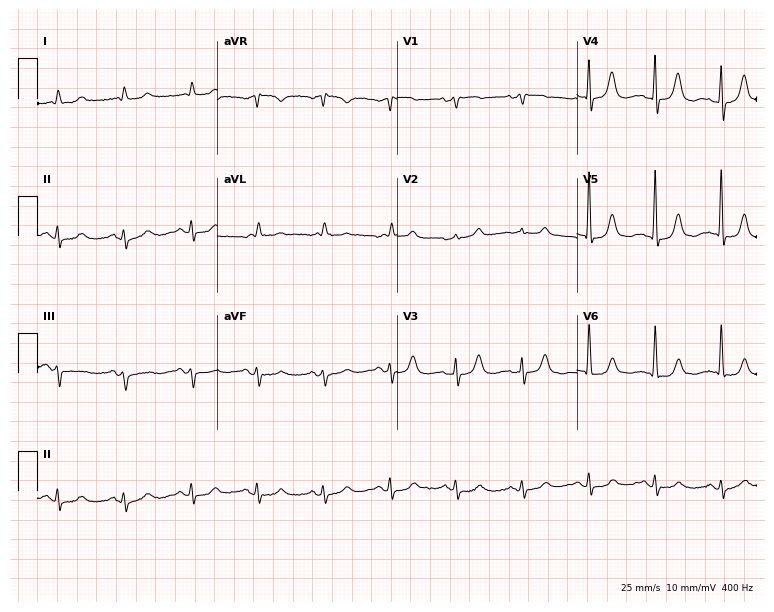
Standard 12-lead ECG recorded from a female, 82 years old. None of these six findings is recorded: first-degree AV block, right bundle branch block, left bundle branch block, sinus bradycardia, atrial fibrillation, sinus tachycardia.